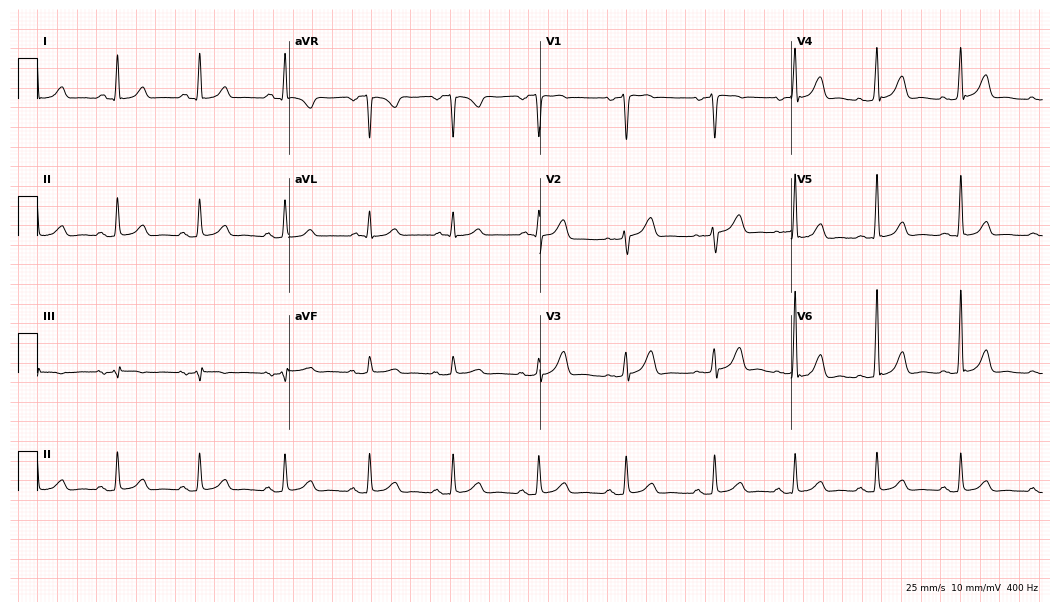
Standard 12-lead ECG recorded from a 56-year-old female. None of these six findings is recorded: first-degree AV block, right bundle branch block, left bundle branch block, sinus bradycardia, atrial fibrillation, sinus tachycardia. Only these six findings were labelled.